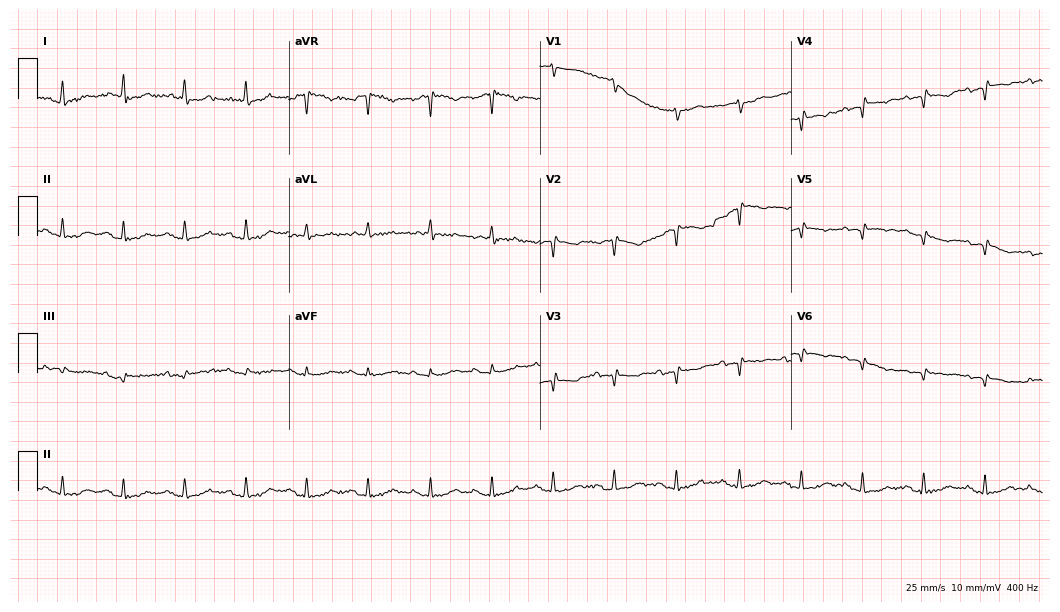
12-lead ECG from a female, 77 years old. No first-degree AV block, right bundle branch block, left bundle branch block, sinus bradycardia, atrial fibrillation or sinus tachycardia recorded for this tracing. Other findings, if any, are not listed.